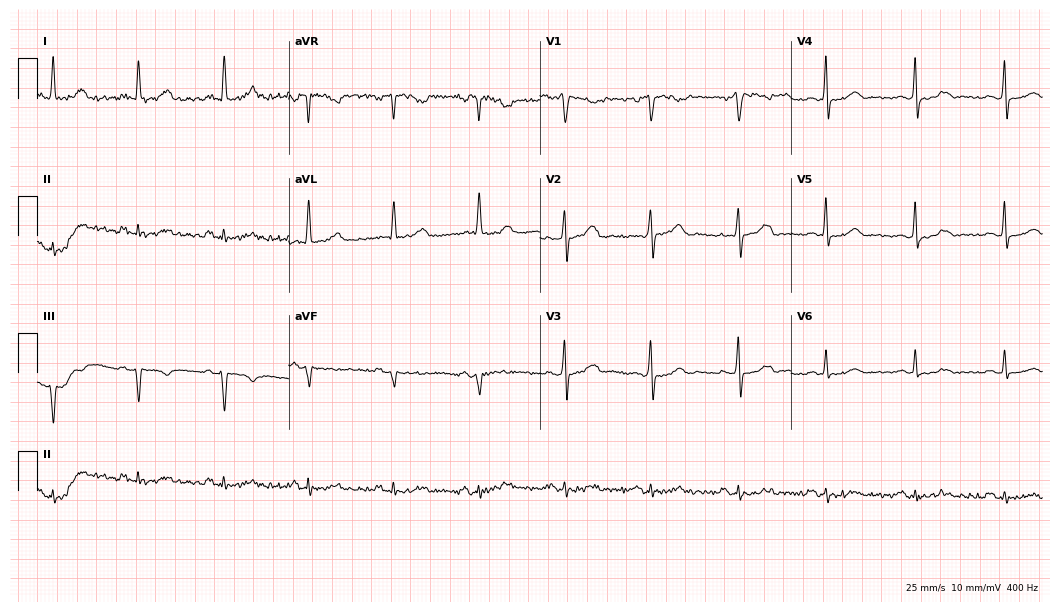
12-lead ECG from a male patient, 68 years old. No first-degree AV block, right bundle branch block, left bundle branch block, sinus bradycardia, atrial fibrillation or sinus tachycardia recorded for this tracing.